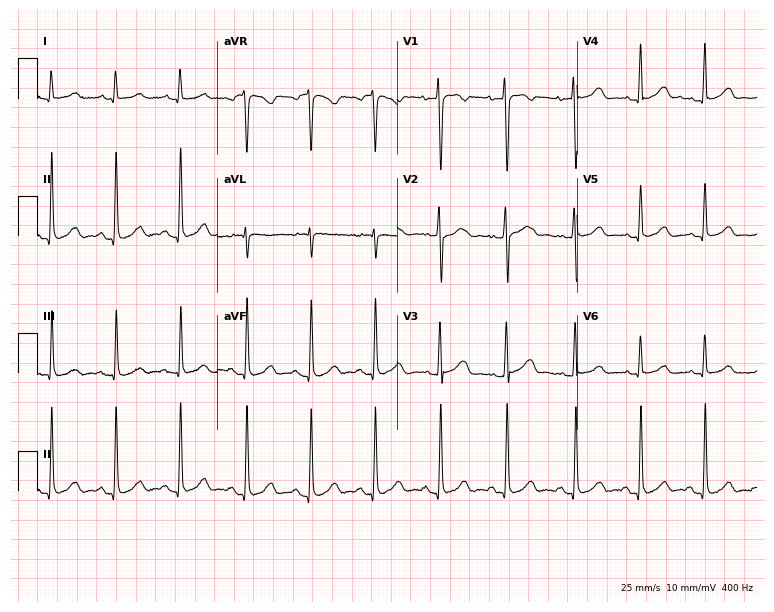
Resting 12-lead electrocardiogram. Patient: a female, 23 years old. Read as a normal ECG.